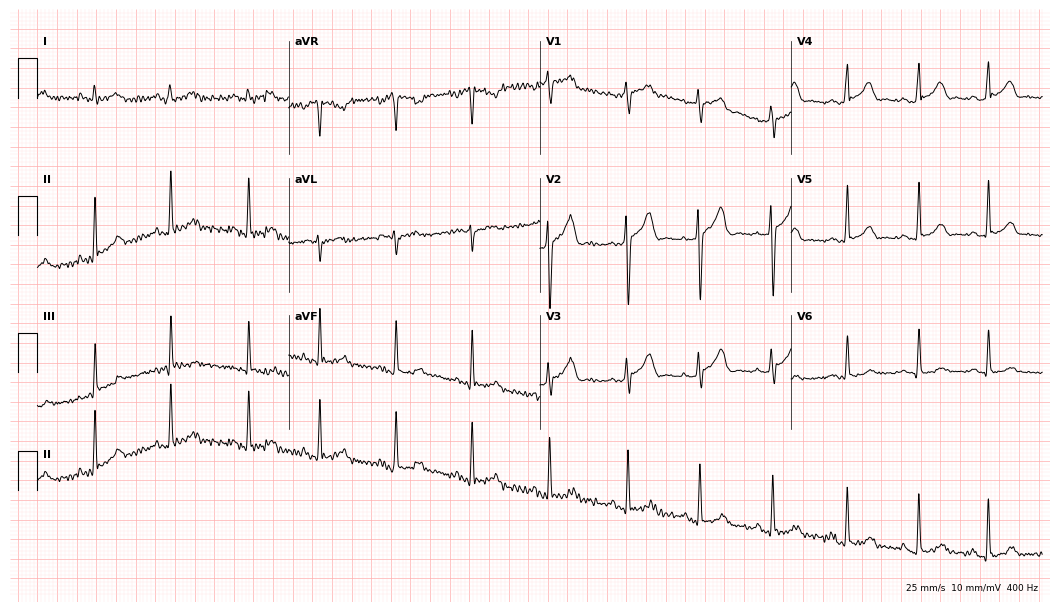
12-lead ECG from a man, 22 years old (10.2-second recording at 400 Hz). Recorded interpretation: within normal limits.